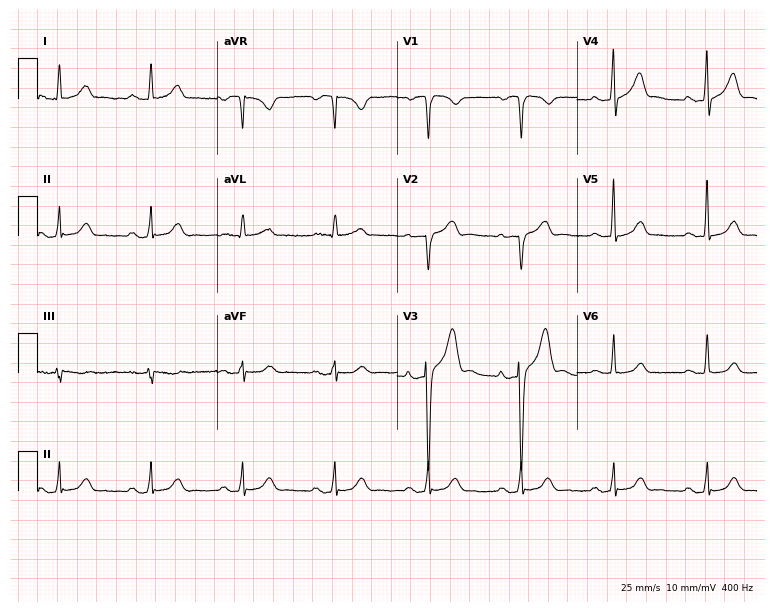
Resting 12-lead electrocardiogram (7.3-second recording at 400 Hz). Patient: a female, 66 years old. Read as a normal ECG.